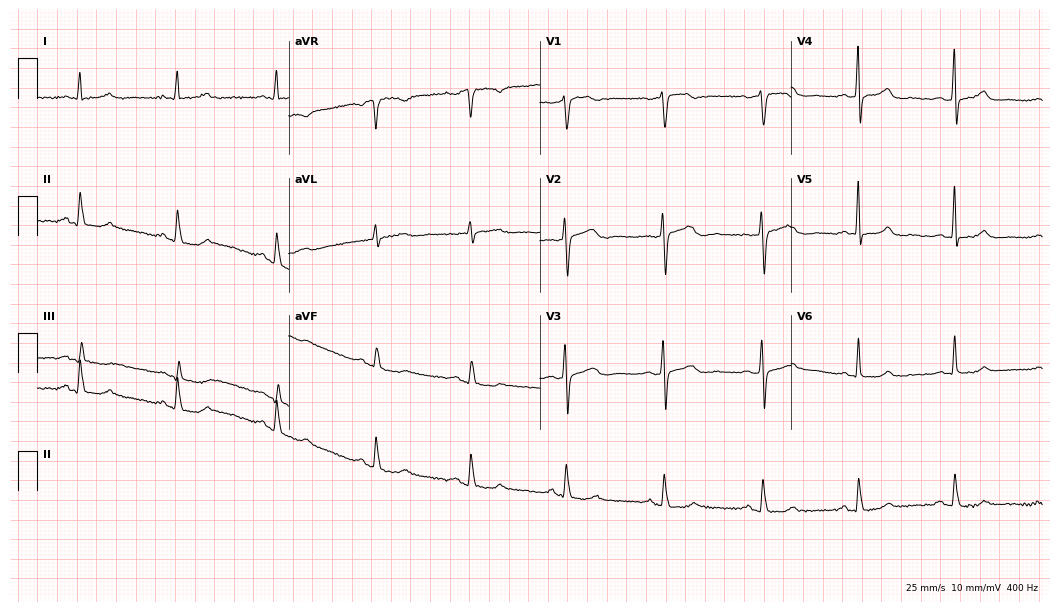
12-lead ECG from a 52-year-old female. Labelled as a normal ECG.